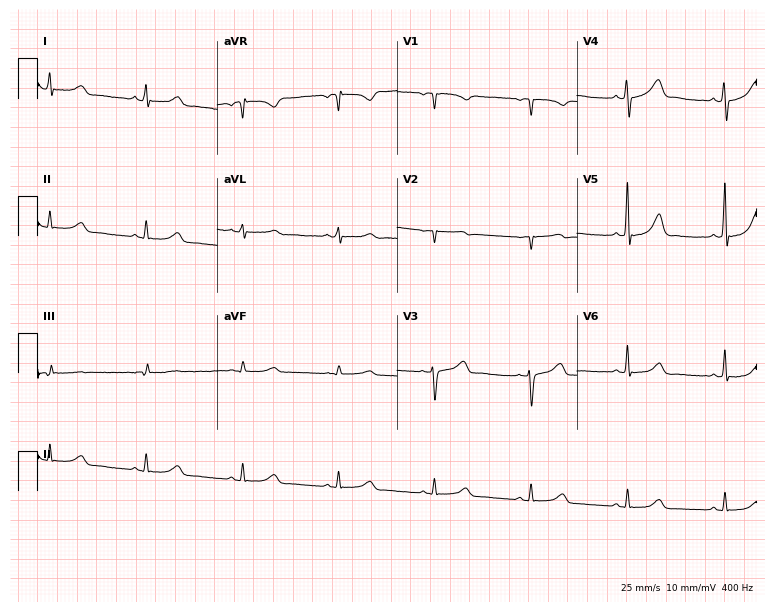
Standard 12-lead ECG recorded from a 52-year-old female patient. None of these six findings is recorded: first-degree AV block, right bundle branch block, left bundle branch block, sinus bradycardia, atrial fibrillation, sinus tachycardia. Other findings, if any, are not listed.